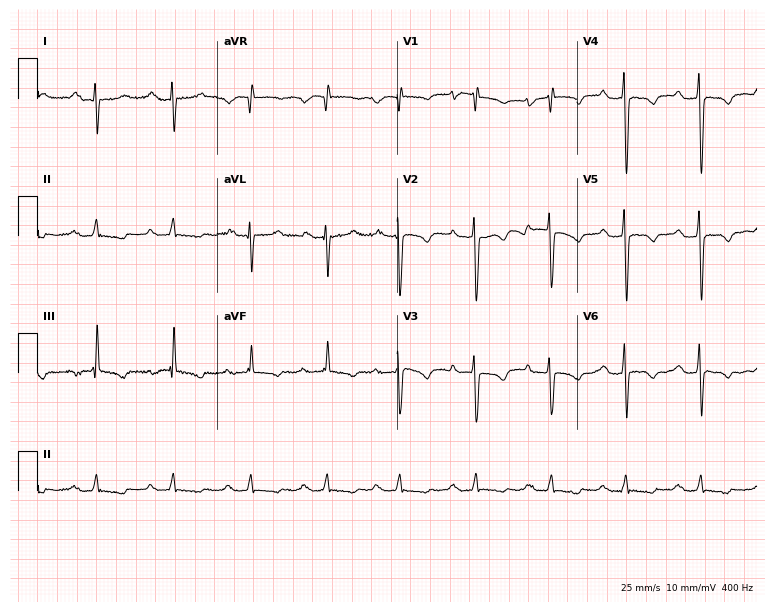
Resting 12-lead electrocardiogram (7.3-second recording at 400 Hz). Patient: a woman, 73 years old. None of these six findings is recorded: first-degree AV block, right bundle branch block, left bundle branch block, sinus bradycardia, atrial fibrillation, sinus tachycardia.